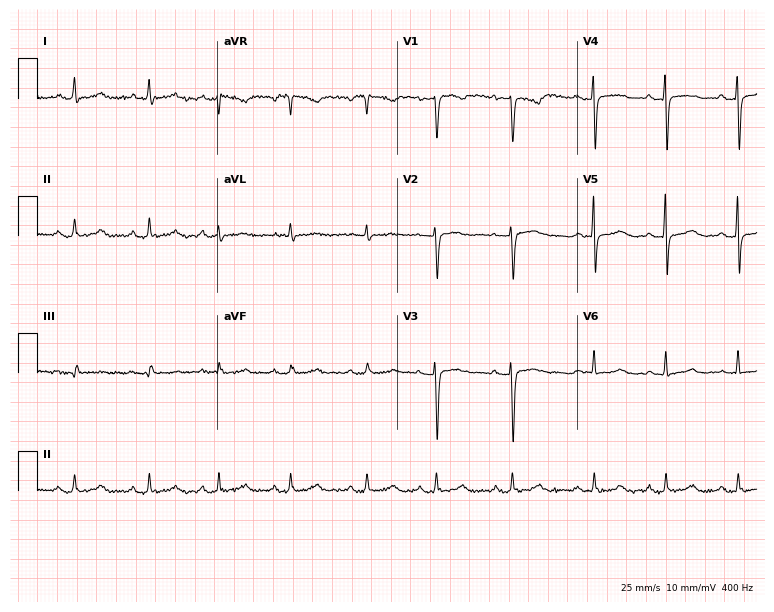
12-lead ECG from a female, 39 years old. Labelled as a normal ECG.